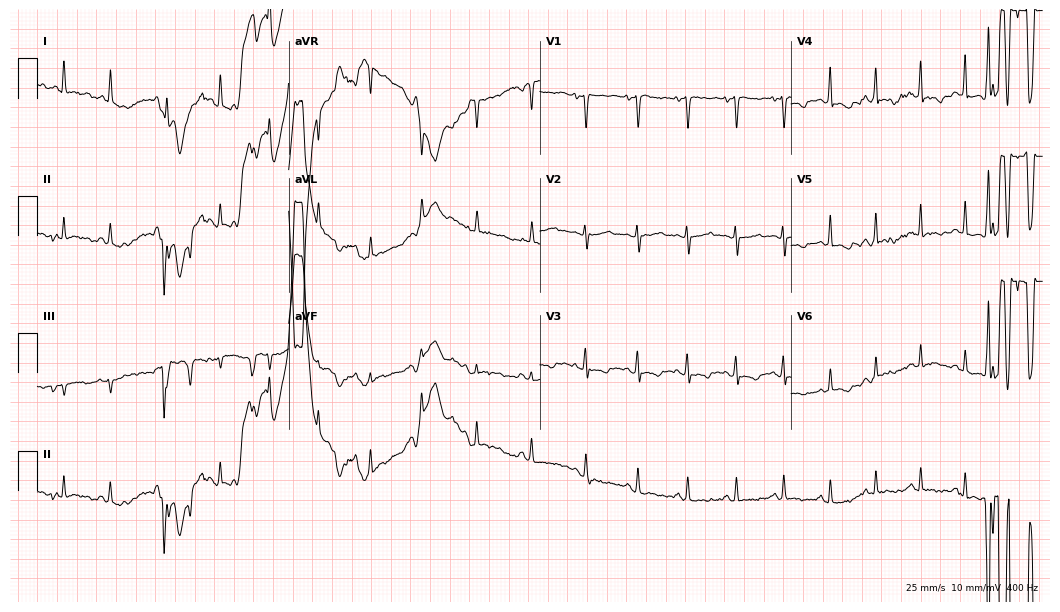
12-lead ECG from a woman, 25 years old. Screened for six findings — first-degree AV block, right bundle branch block, left bundle branch block, sinus bradycardia, atrial fibrillation, sinus tachycardia — none is recorded. Other findings, if any, are not listed.